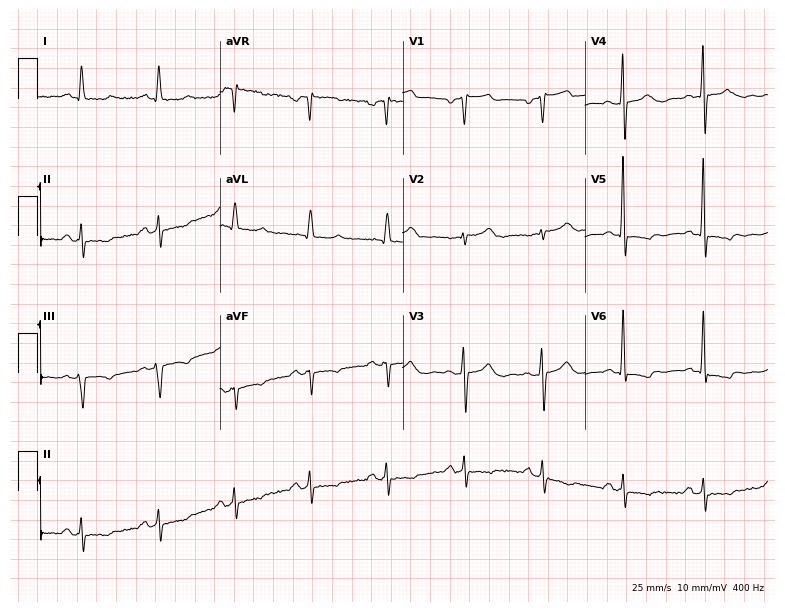
Standard 12-lead ECG recorded from a 66-year-old male. None of these six findings is recorded: first-degree AV block, right bundle branch block (RBBB), left bundle branch block (LBBB), sinus bradycardia, atrial fibrillation (AF), sinus tachycardia. Only these six findings were labelled.